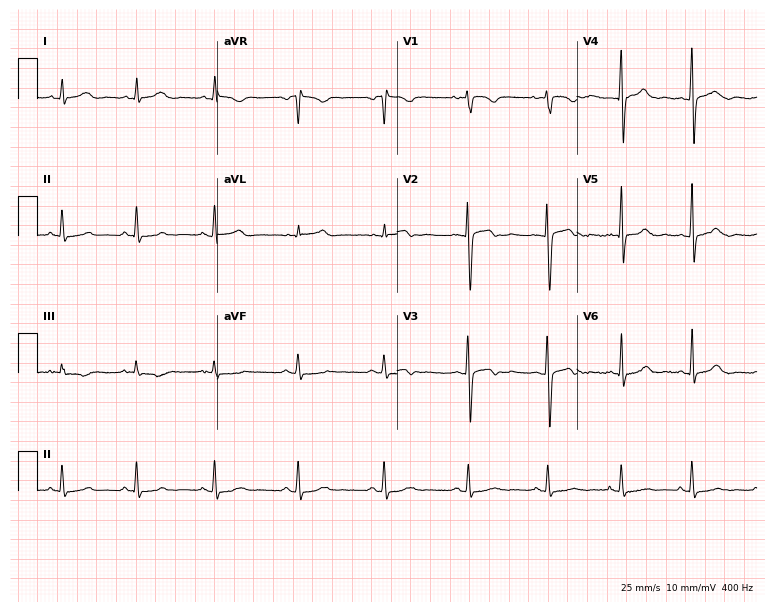
Electrocardiogram, a woman, 35 years old. Overall reading on record: normal ECG.